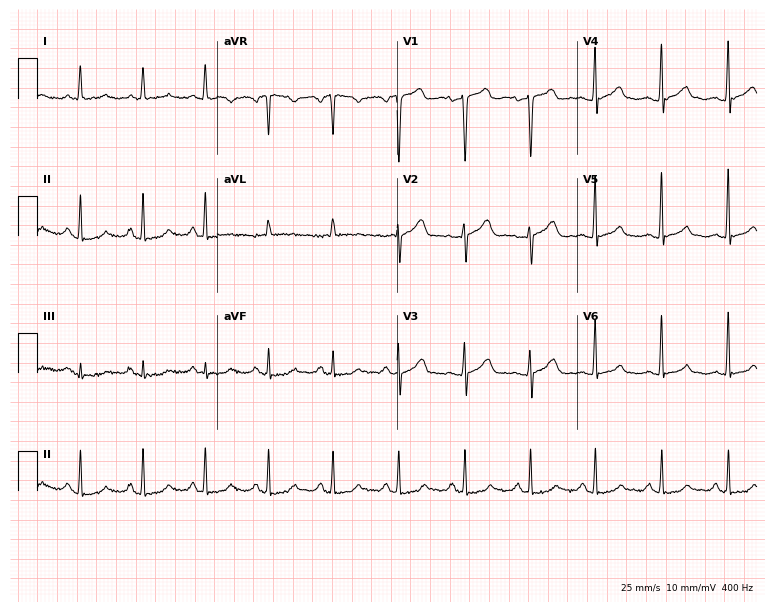
12-lead ECG (7.3-second recording at 400 Hz) from a female, 53 years old. Labelled as a normal ECG.